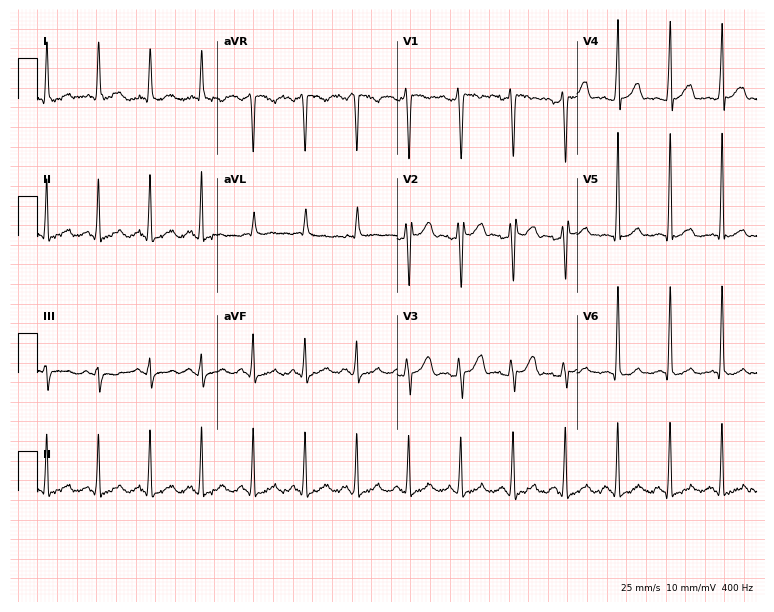
Electrocardiogram, a man, 46 years old. Interpretation includes sinus tachycardia (a sinus rate of 100 beats per minute or more).